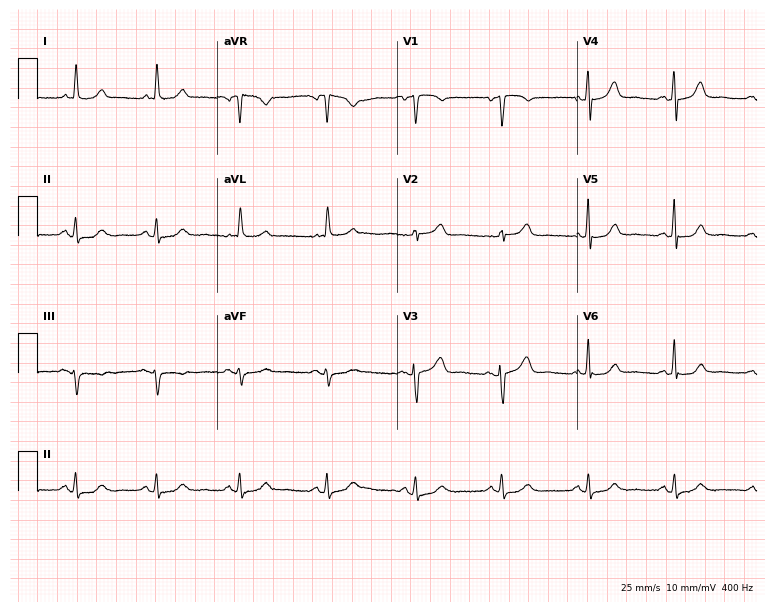
12-lead ECG from a female, 73 years old. Labelled as a normal ECG.